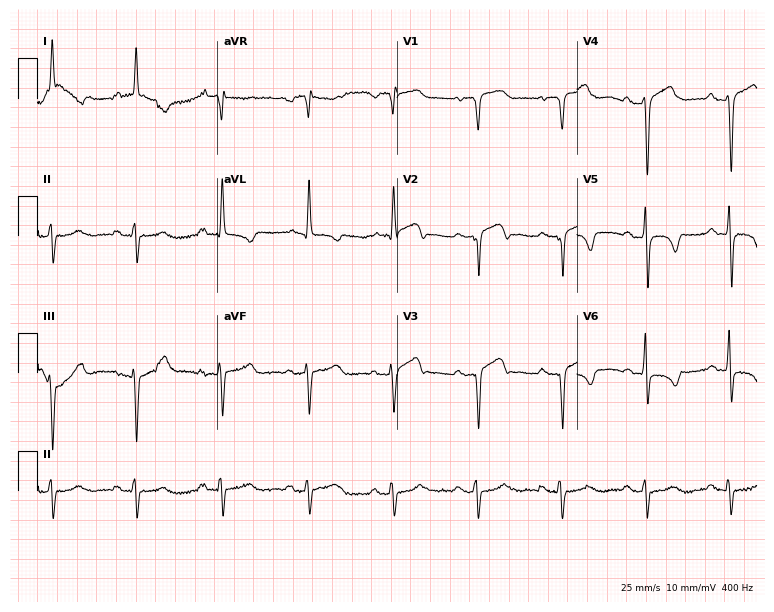
12-lead ECG from a male, 35 years old. No first-degree AV block, right bundle branch block (RBBB), left bundle branch block (LBBB), sinus bradycardia, atrial fibrillation (AF) or sinus tachycardia recorded for this tracing. Findings outside these six are not listed.